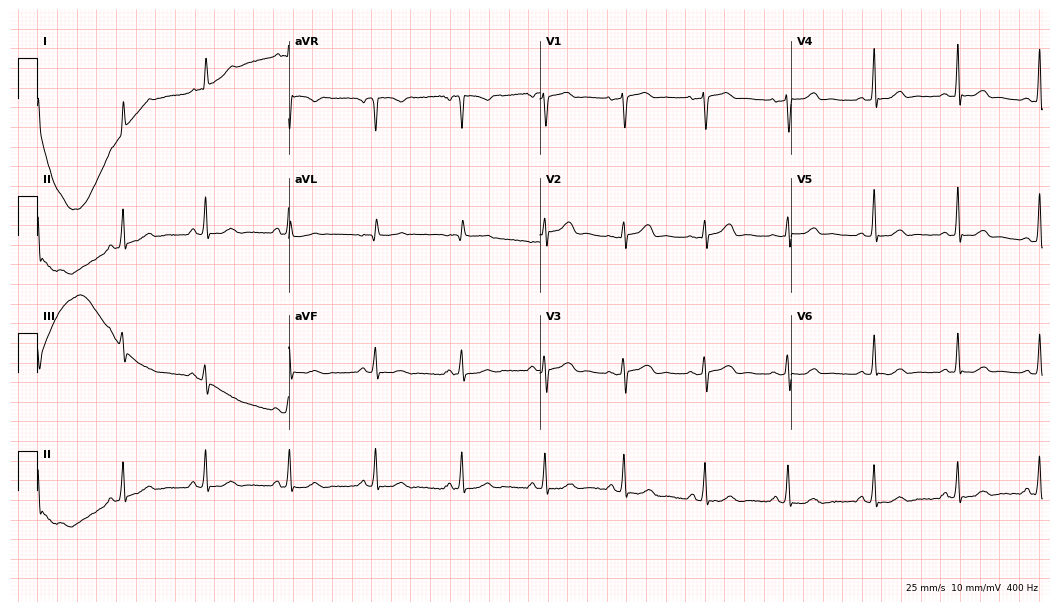
12-lead ECG from a 32-year-old male patient (10.2-second recording at 400 Hz). Recorded interpretation: within normal limits.